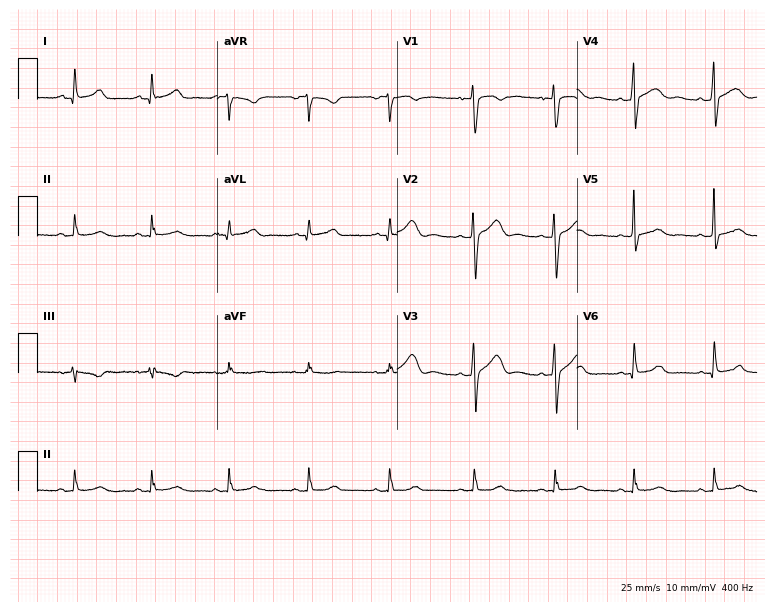
12-lead ECG from a female, 32 years old. No first-degree AV block, right bundle branch block, left bundle branch block, sinus bradycardia, atrial fibrillation or sinus tachycardia recorded for this tracing. Other findings, if any, are not listed.